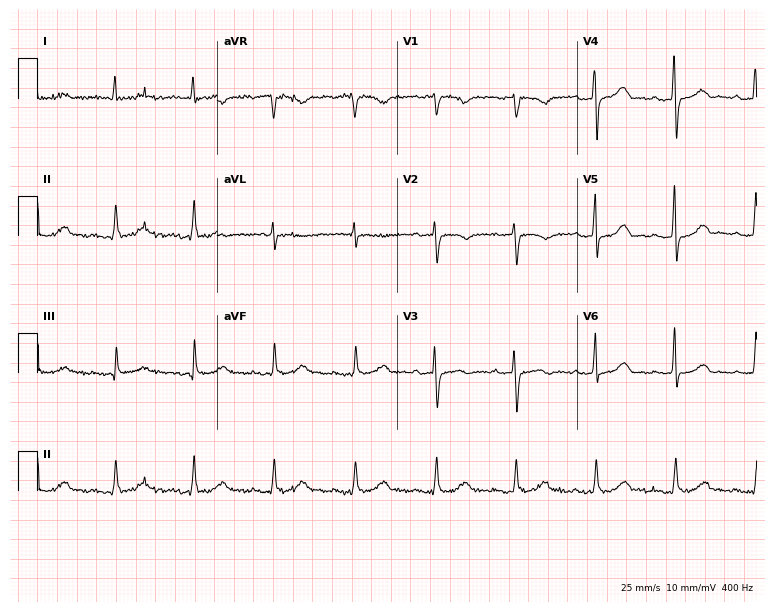
Standard 12-lead ECG recorded from a 77-year-old female patient. Read as a normal ECG.